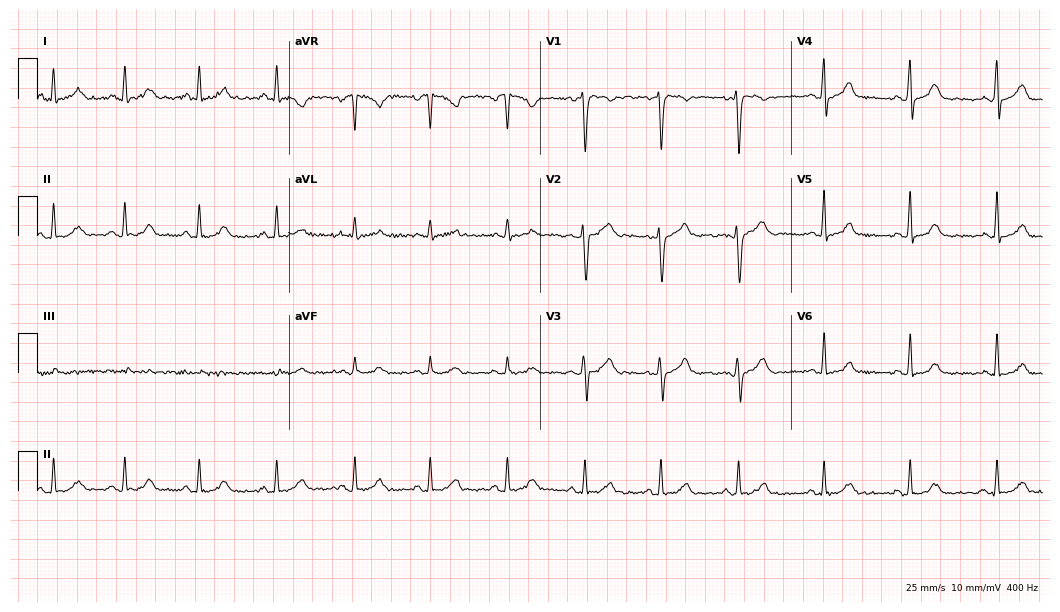
Resting 12-lead electrocardiogram (10.2-second recording at 400 Hz). Patient: a female, 33 years old. Read as a normal ECG.